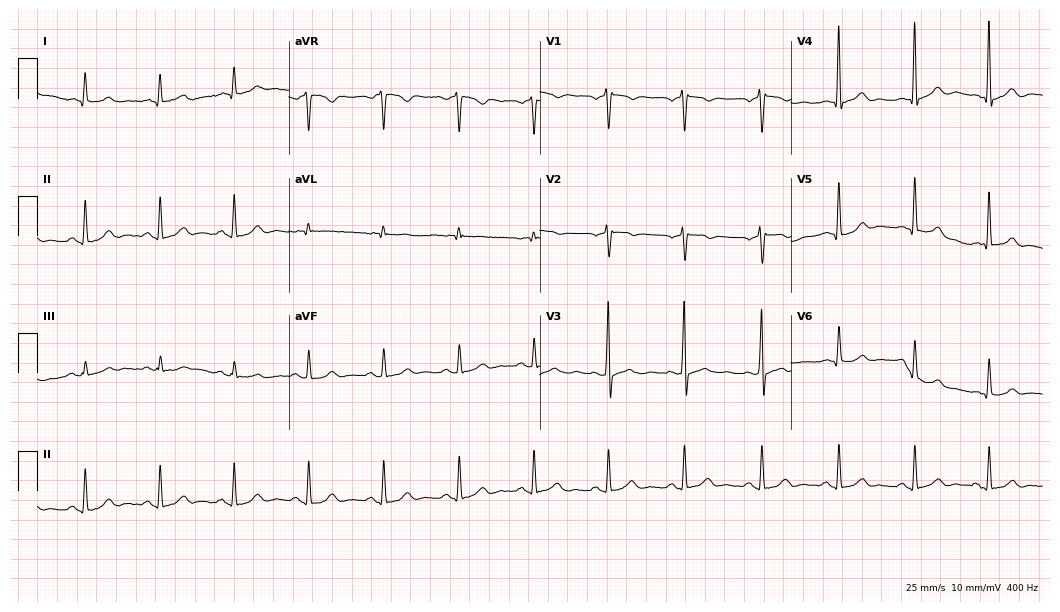
Standard 12-lead ECG recorded from a 39-year-old male. Read as a normal ECG.